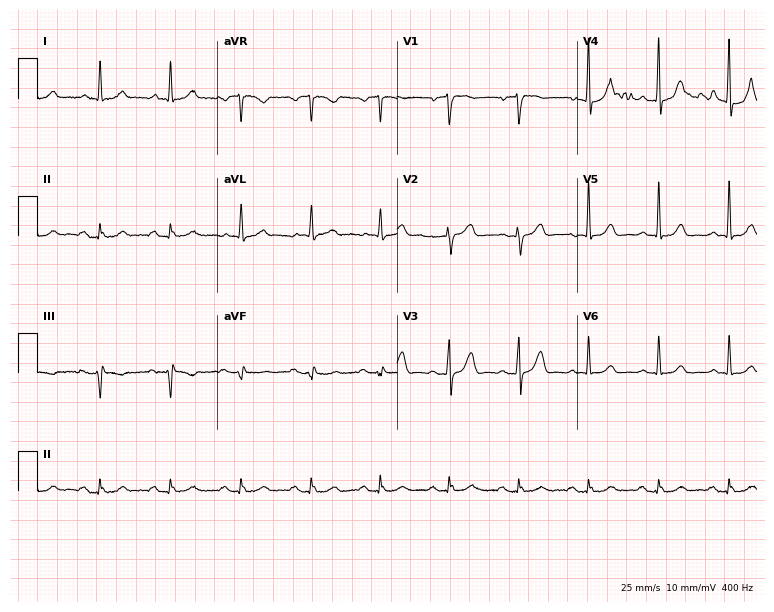
Resting 12-lead electrocardiogram (7.3-second recording at 400 Hz). Patient: a man, 65 years old. Read as a normal ECG.